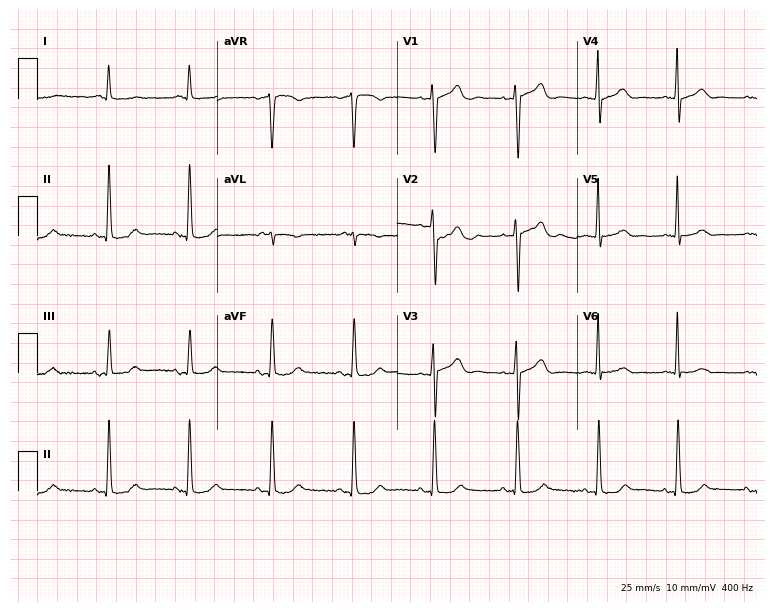
Standard 12-lead ECG recorded from a male, 79 years old (7.3-second recording at 400 Hz). Read as a normal ECG.